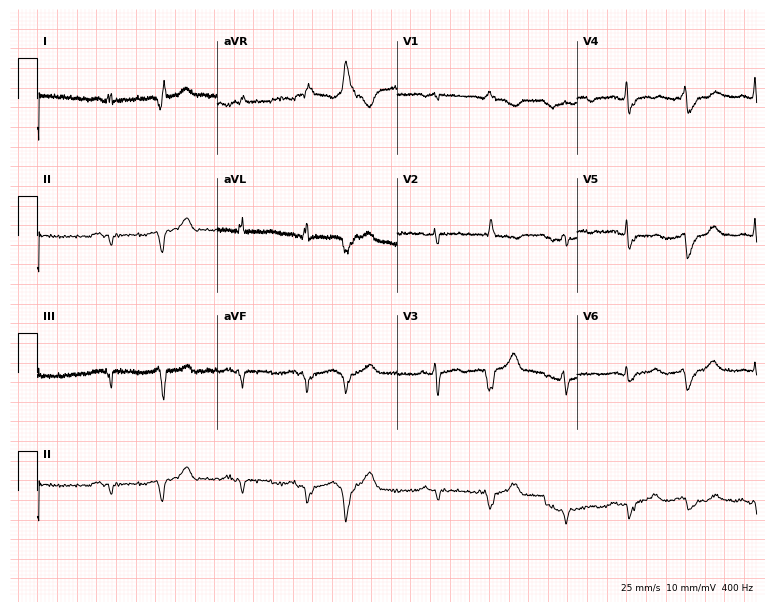
12-lead ECG from a female patient, 52 years old. No first-degree AV block, right bundle branch block, left bundle branch block, sinus bradycardia, atrial fibrillation or sinus tachycardia recorded for this tracing.